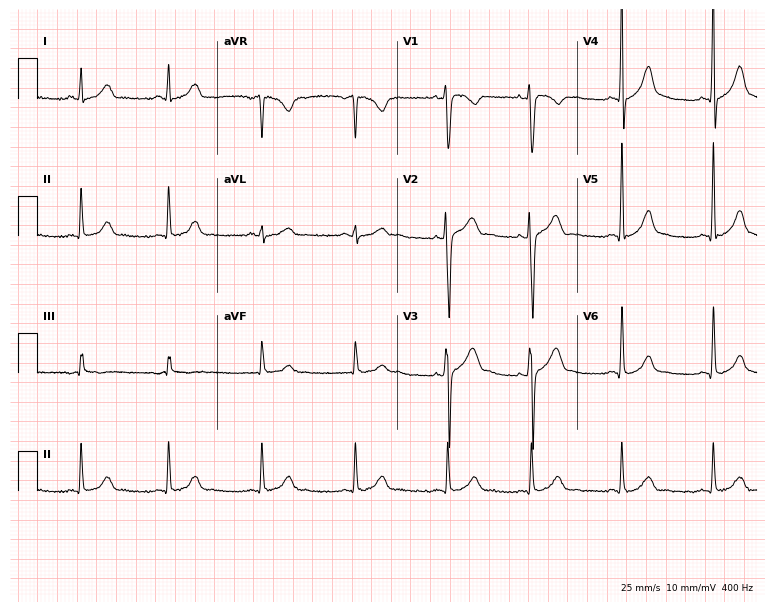
ECG (7.3-second recording at 400 Hz) — a male, 22 years old. Screened for six findings — first-degree AV block, right bundle branch block, left bundle branch block, sinus bradycardia, atrial fibrillation, sinus tachycardia — none is recorded. Findings outside these six are not listed.